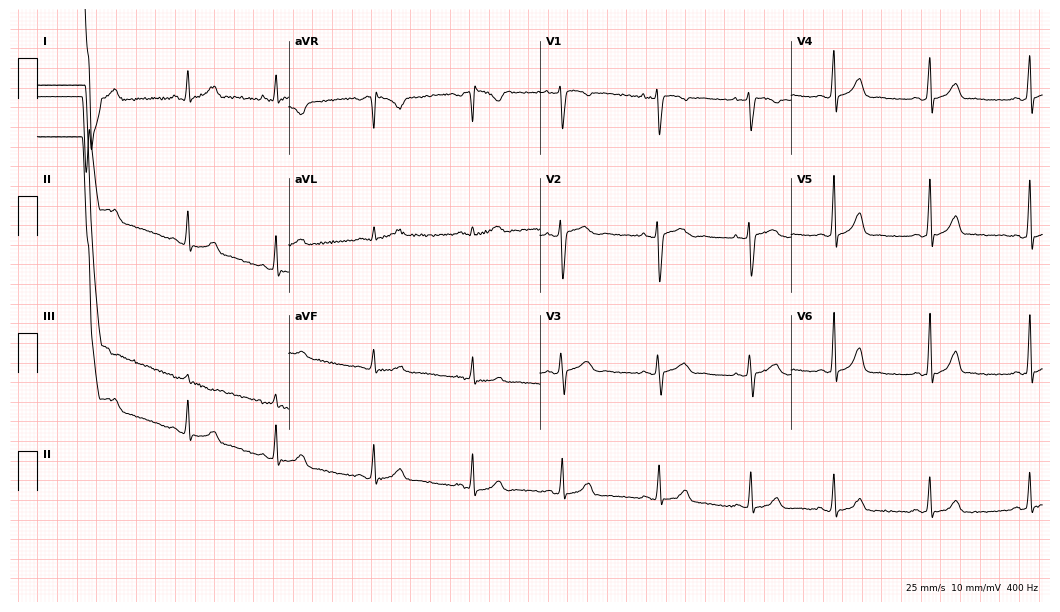
ECG — a woman, 34 years old. Labelled as a normal ECG.